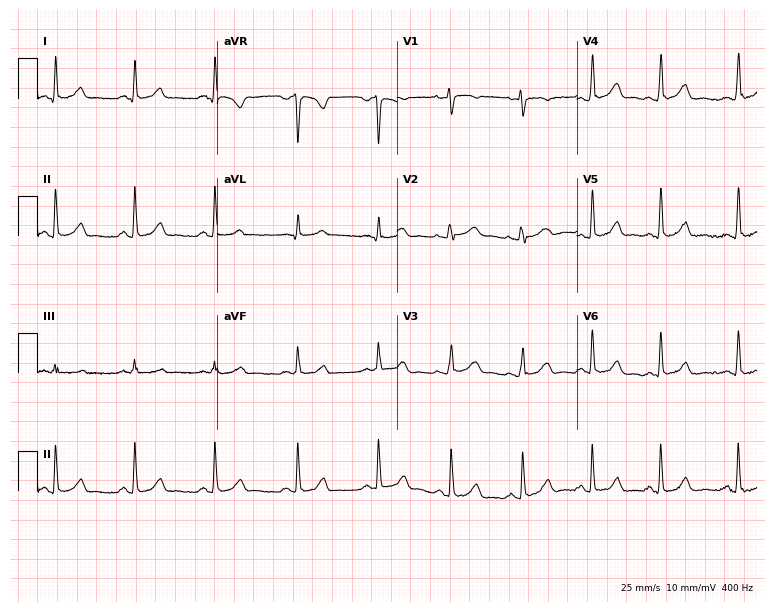
12-lead ECG from a 31-year-old female patient. Recorded interpretation: within normal limits.